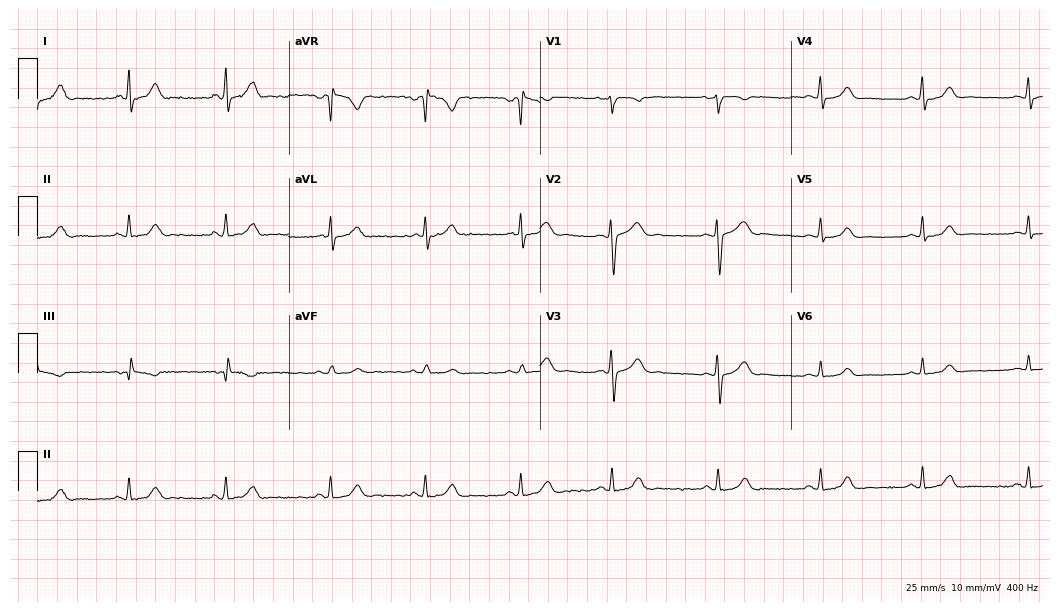
12-lead ECG from a woman, 24 years old. No first-degree AV block, right bundle branch block, left bundle branch block, sinus bradycardia, atrial fibrillation or sinus tachycardia recorded for this tracing.